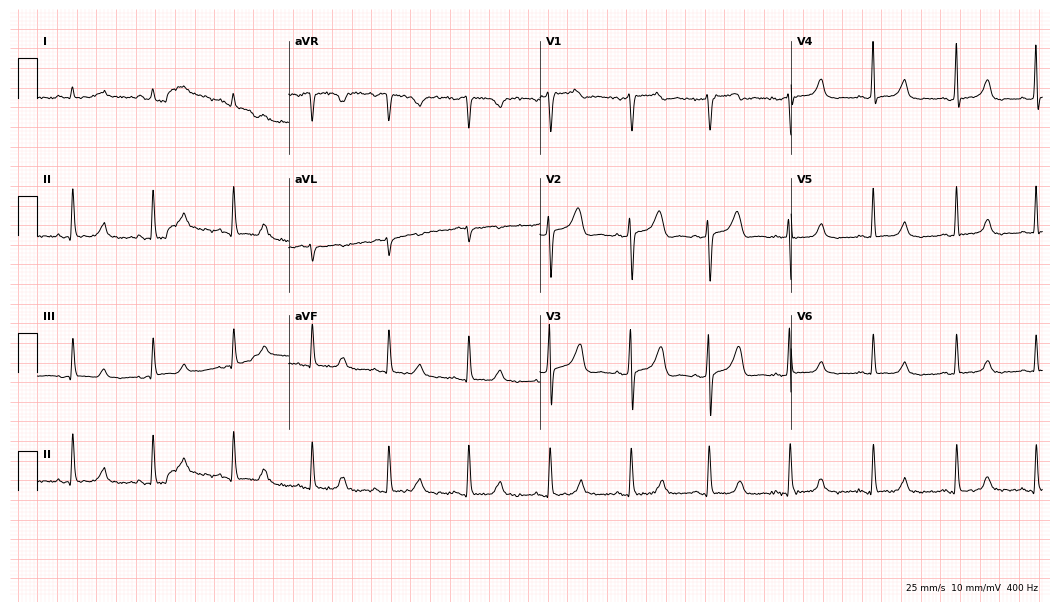
Resting 12-lead electrocardiogram. Patient: a 69-year-old female. None of these six findings is recorded: first-degree AV block, right bundle branch block, left bundle branch block, sinus bradycardia, atrial fibrillation, sinus tachycardia. Other findings, if any, are not listed.